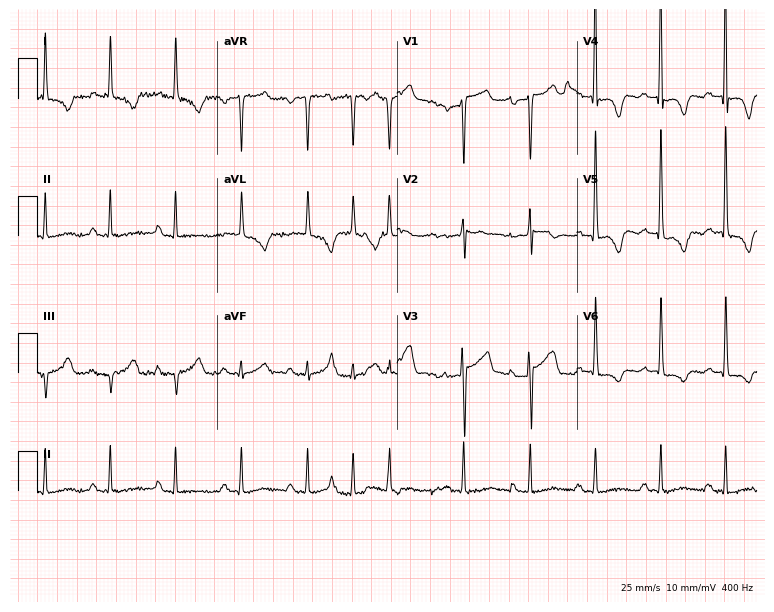
ECG — an 85-year-old man. Screened for six findings — first-degree AV block, right bundle branch block (RBBB), left bundle branch block (LBBB), sinus bradycardia, atrial fibrillation (AF), sinus tachycardia — none is recorded. Only these six findings were labelled.